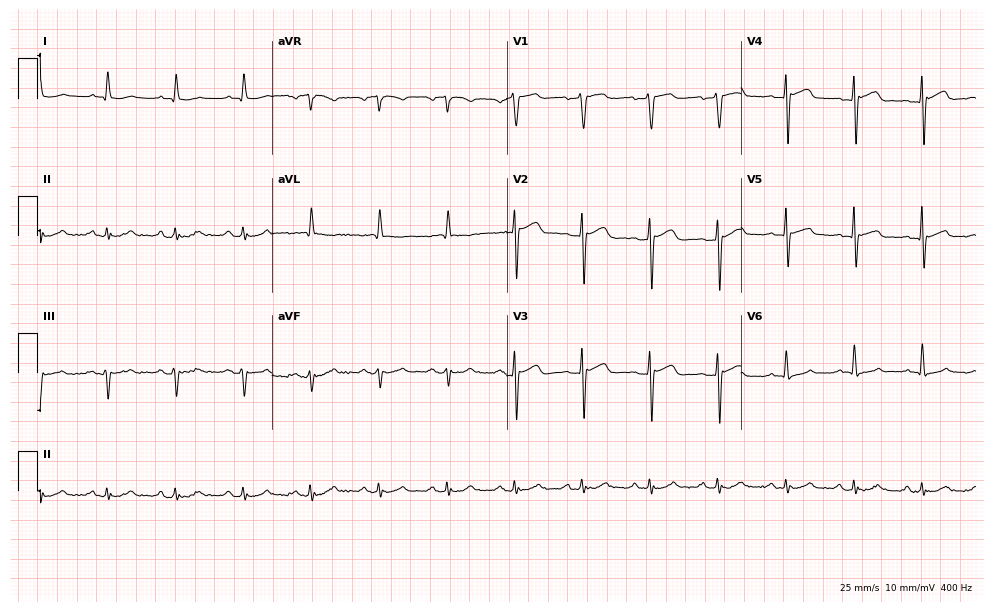
ECG (9.6-second recording at 400 Hz) — a male, 70 years old. Labelled as a normal ECG.